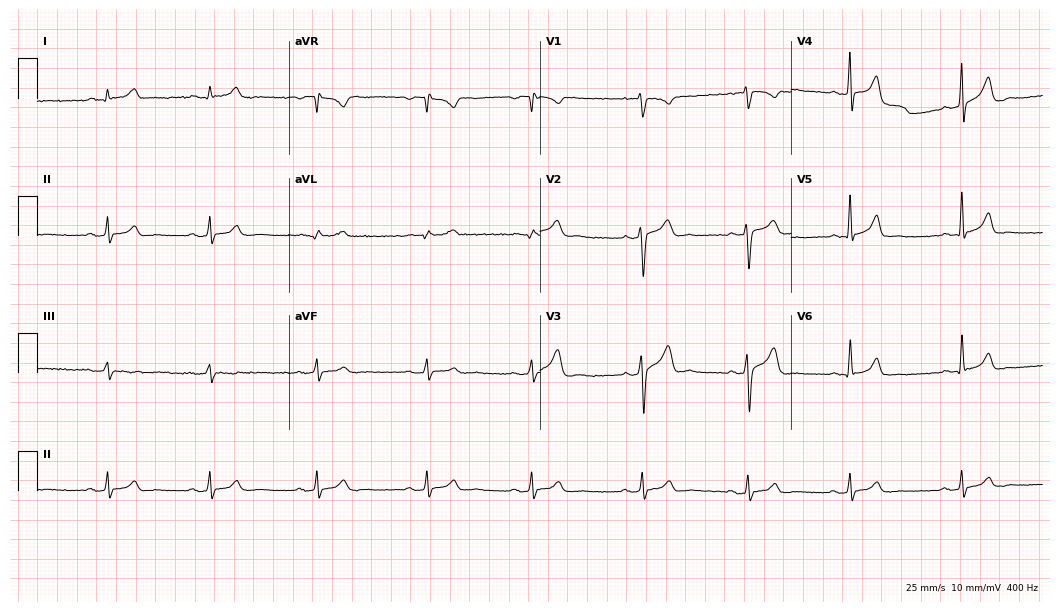
Electrocardiogram (10.2-second recording at 400 Hz), a male, 22 years old. Overall reading on record: normal ECG.